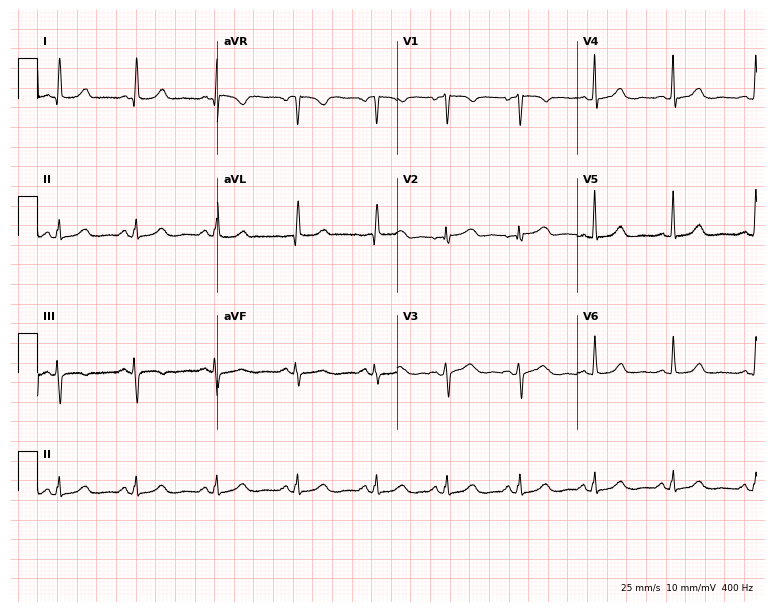
12-lead ECG from a female patient, 49 years old (7.3-second recording at 400 Hz). Recorded interpretation: within normal limits.